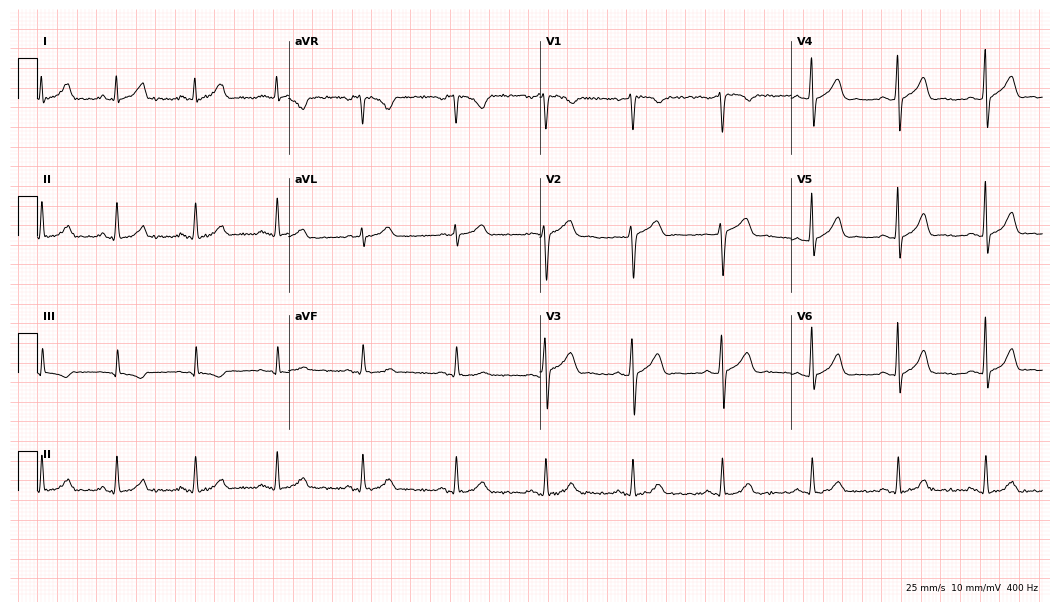
Electrocardiogram, a 32-year-old male. Overall reading on record: normal ECG.